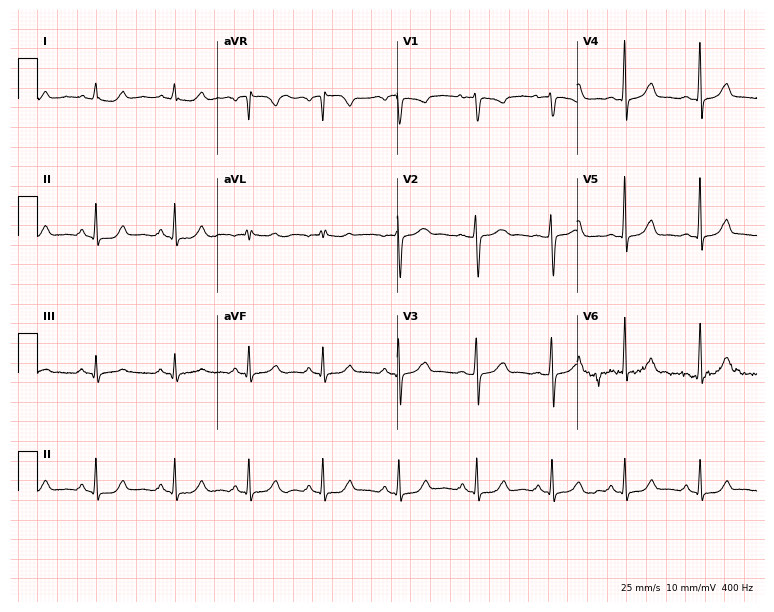
Electrocardiogram, a 33-year-old female. Overall reading on record: normal ECG.